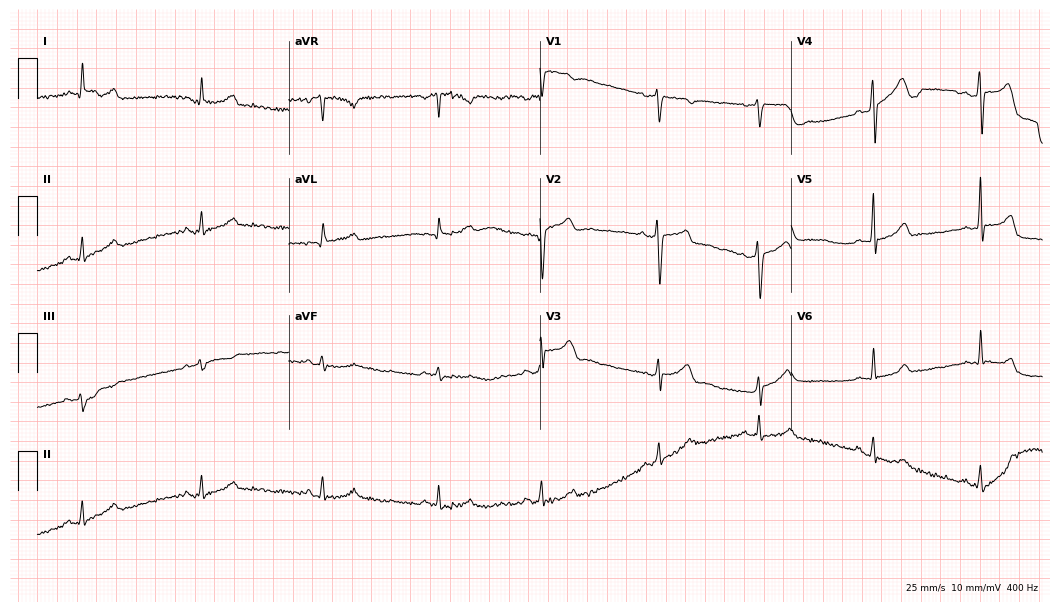
Resting 12-lead electrocardiogram (10.2-second recording at 400 Hz). Patient: a female, 41 years old. None of these six findings is recorded: first-degree AV block, right bundle branch block, left bundle branch block, sinus bradycardia, atrial fibrillation, sinus tachycardia.